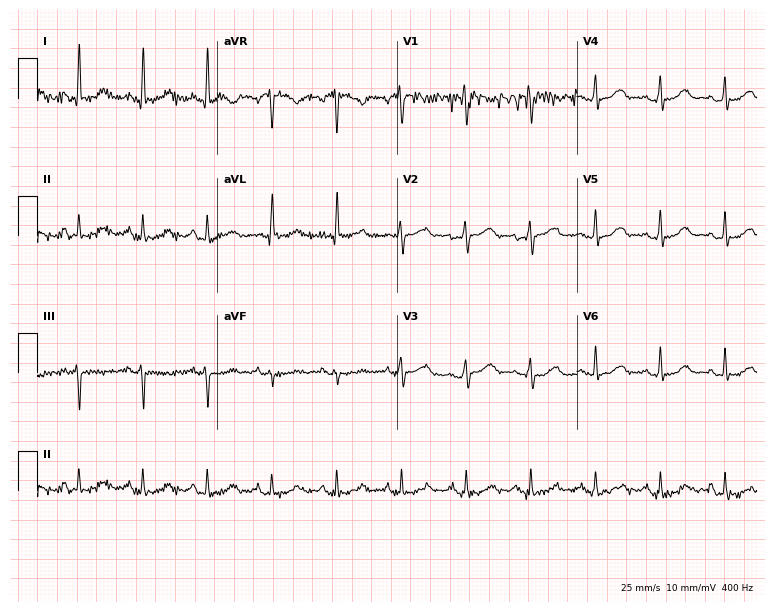
Standard 12-lead ECG recorded from a female patient, 40 years old. None of these six findings is recorded: first-degree AV block, right bundle branch block, left bundle branch block, sinus bradycardia, atrial fibrillation, sinus tachycardia. Findings outside these six are not listed.